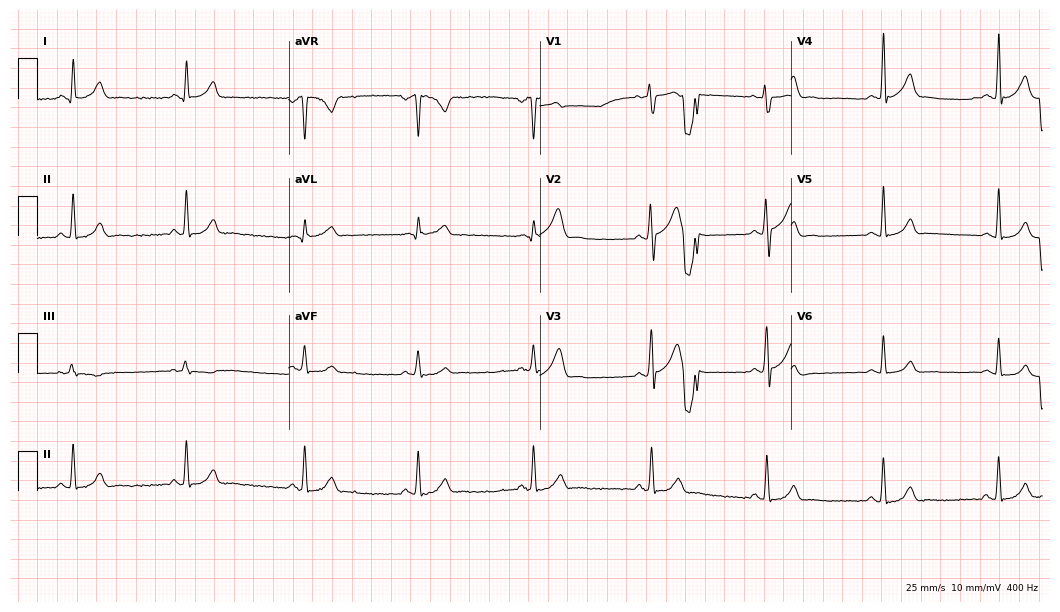
Electrocardiogram (10.2-second recording at 400 Hz), a 29-year-old man. Of the six screened findings (first-degree AV block, right bundle branch block, left bundle branch block, sinus bradycardia, atrial fibrillation, sinus tachycardia), none is recorded. Findings outside these six are not listed.